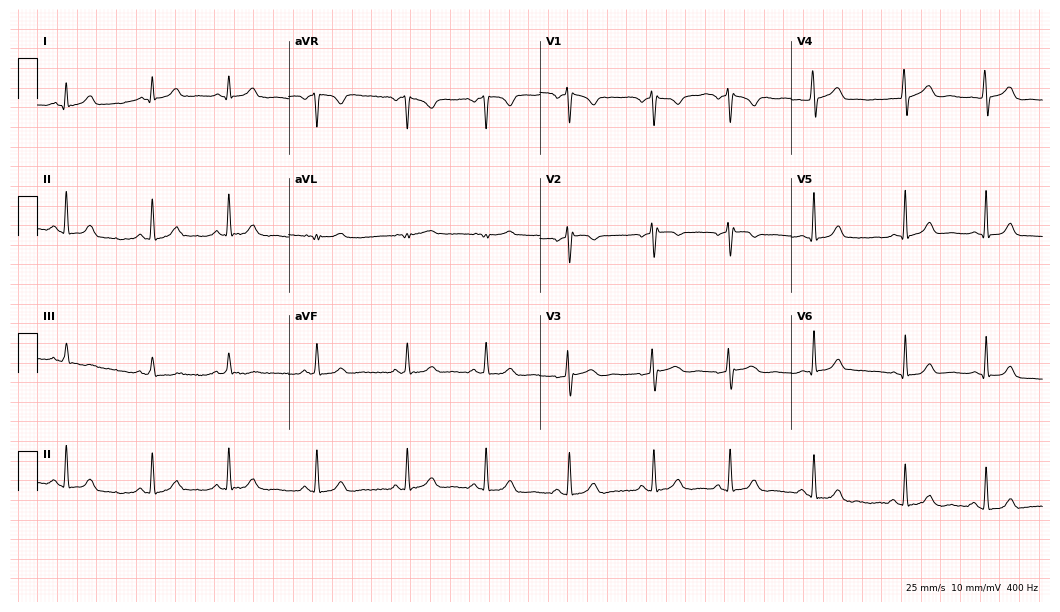
Standard 12-lead ECG recorded from a 31-year-old female (10.2-second recording at 400 Hz). Read as a normal ECG.